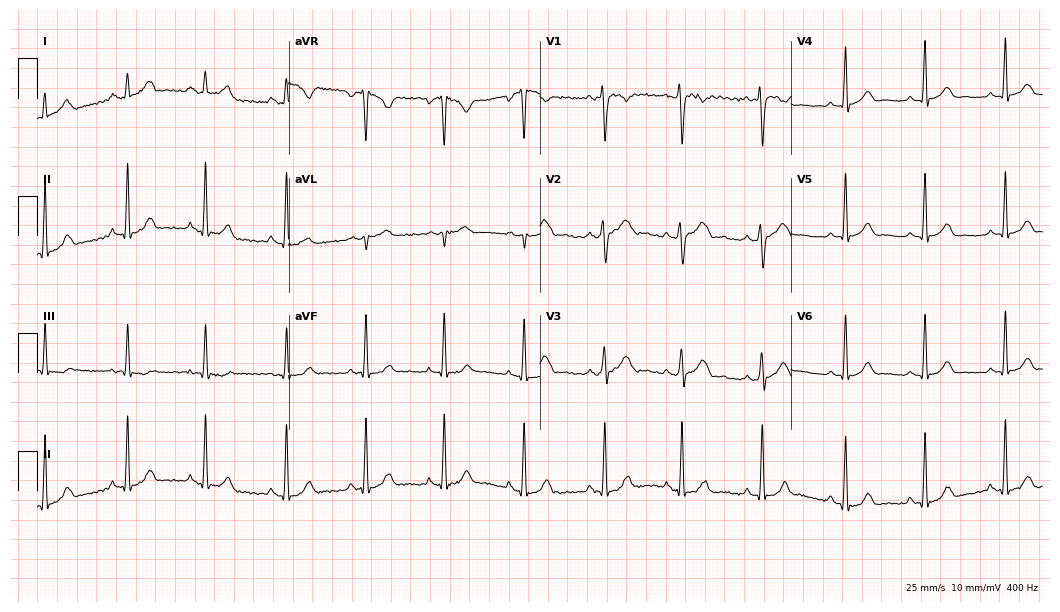
Resting 12-lead electrocardiogram. Patient: a 28-year-old woman. Read as a normal ECG.